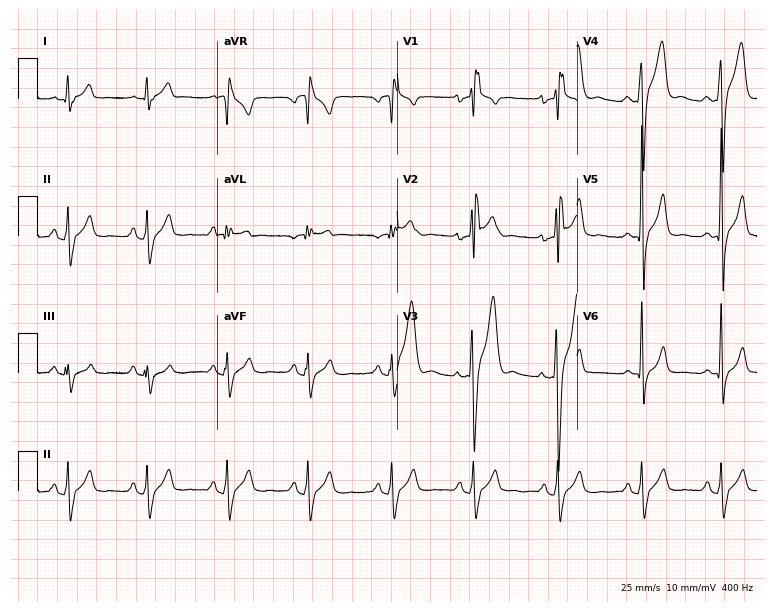
Electrocardiogram (7.3-second recording at 400 Hz), a 32-year-old male. Interpretation includes right bundle branch block.